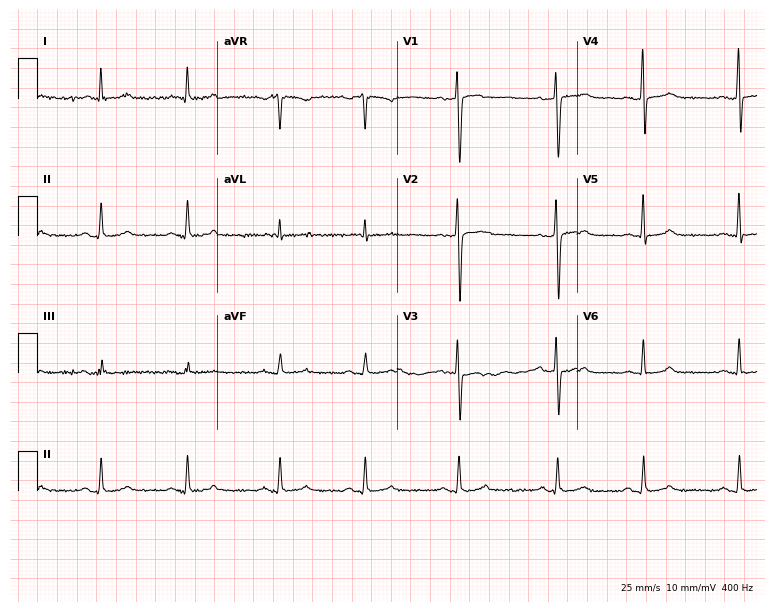
Electrocardiogram, a female patient, 23 years old. Of the six screened findings (first-degree AV block, right bundle branch block, left bundle branch block, sinus bradycardia, atrial fibrillation, sinus tachycardia), none is recorded. Only these six findings were labelled.